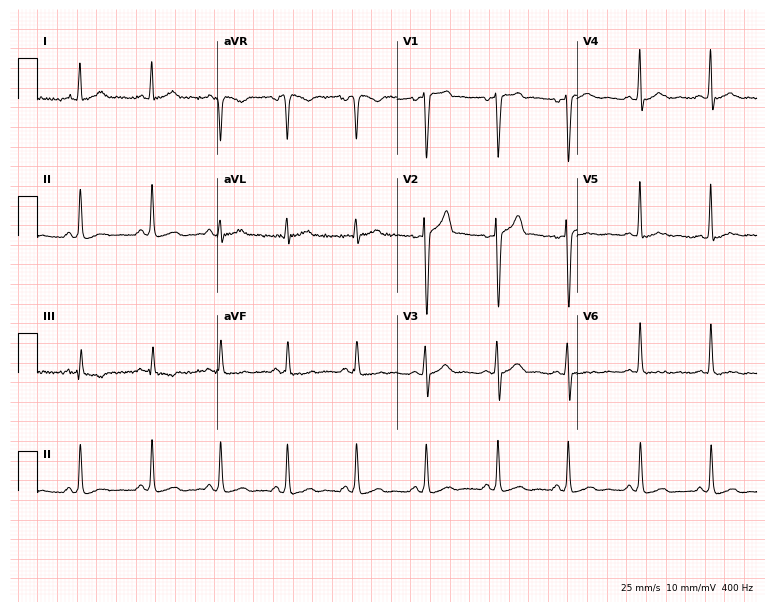
Electrocardiogram, a female, 32 years old. Of the six screened findings (first-degree AV block, right bundle branch block (RBBB), left bundle branch block (LBBB), sinus bradycardia, atrial fibrillation (AF), sinus tachycardia), none is recorded. Other findings, if any, are not listed.